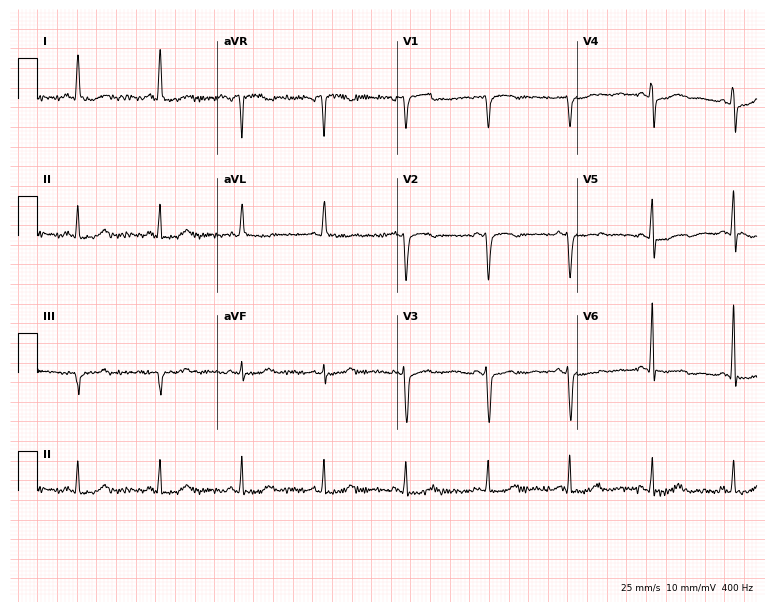
Standard 12-lead ECG recorded from a 67-year-old woman. None of these six findings is recorded: first-degree AV block, right bundle branch block, left bundle branch block, sinus bradycardia, atrial fibrillation, sinus tachycardia.